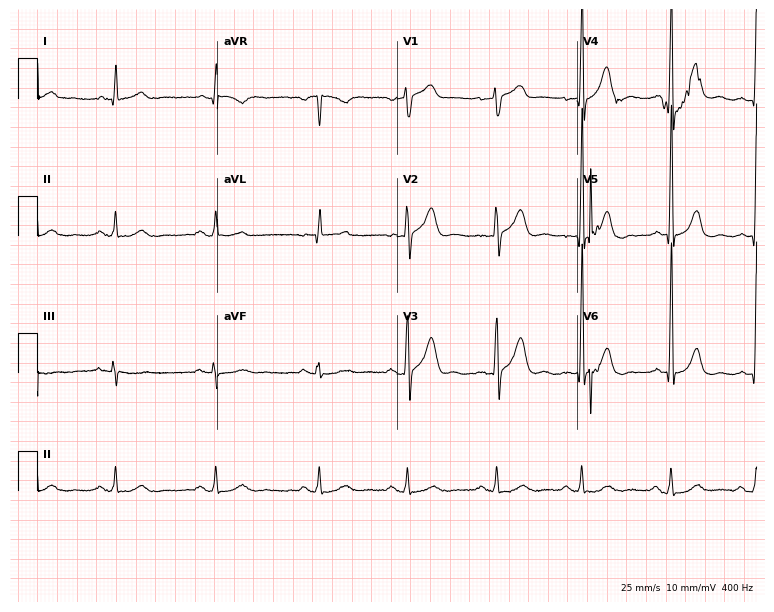
Resting 12-lead electrocardiogram. Patient: a 72-year-old male. None of these six findings is recorded: first-degree AV block, right bundle branch block, left bundle branch block, sinus bradycardia, atrial fibrillation, sinus tachycardia.